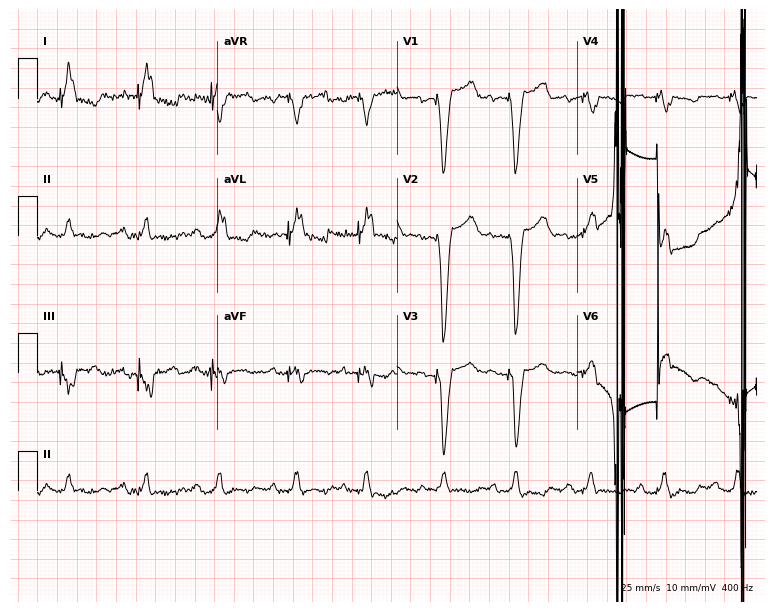
Electrocardiogram (7.3-second recording at 400 Hz), a 64-year-old female patient. Of the six screened findings (first-degree AV block, right bundle branch block, left bundle branch block, sinus bradycardia, atrial fibrillation, sinus tachycardia), none is recorded.